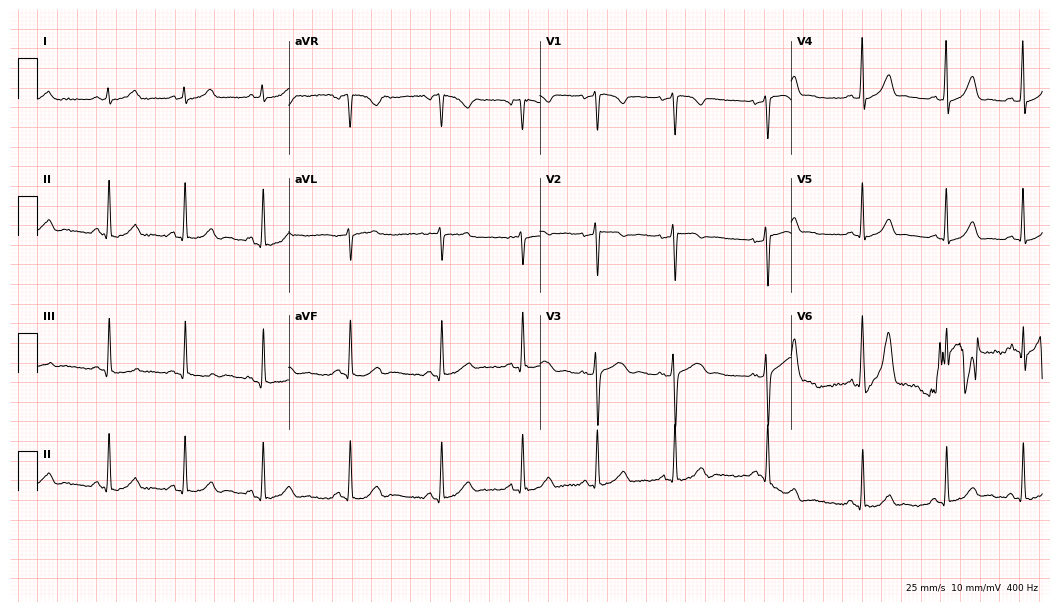
12-lead ECG from a 28-year-old female (10.2-second recording at 400 Hz). No first-degree AV block, right bundle branch block, left bundle branch block, sinus bradycardia, atrial fibrillation or sinus tachycardia recorded for this tracing. Findings outside these six are not listed.